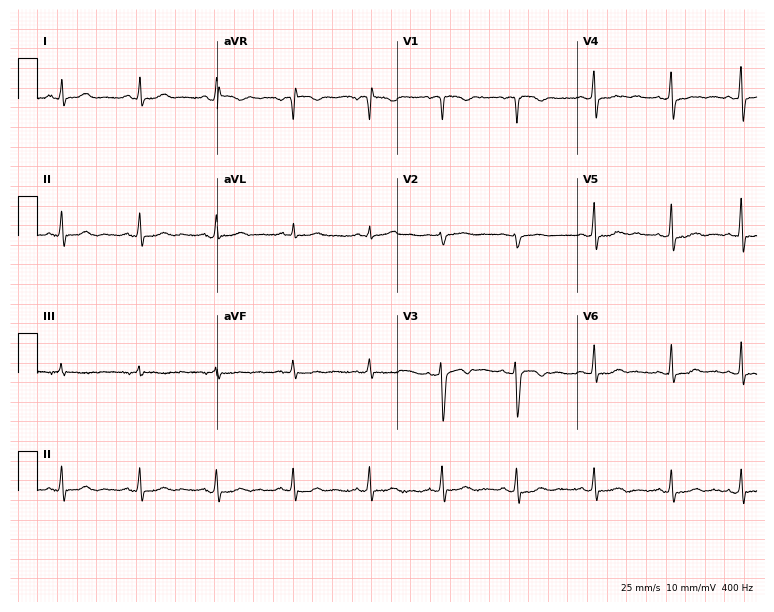
12-lead ECG from a female, 36 years old. Screened for six findings — first-degree AV block, right bundle branch block (RBBB), left bundle branch block (LBBB), sinus bradycardia, atrial fibrillation (AF), sinus tachycardia — none is recorded. Findings outside these six are not listed.